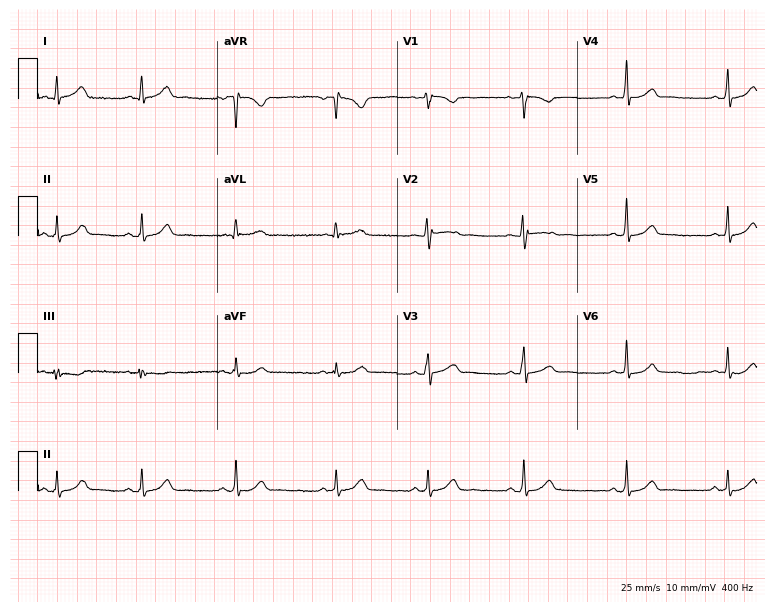
12-lead ECG from a woman, 20 years old. Recorded interpretation: within normal limits.